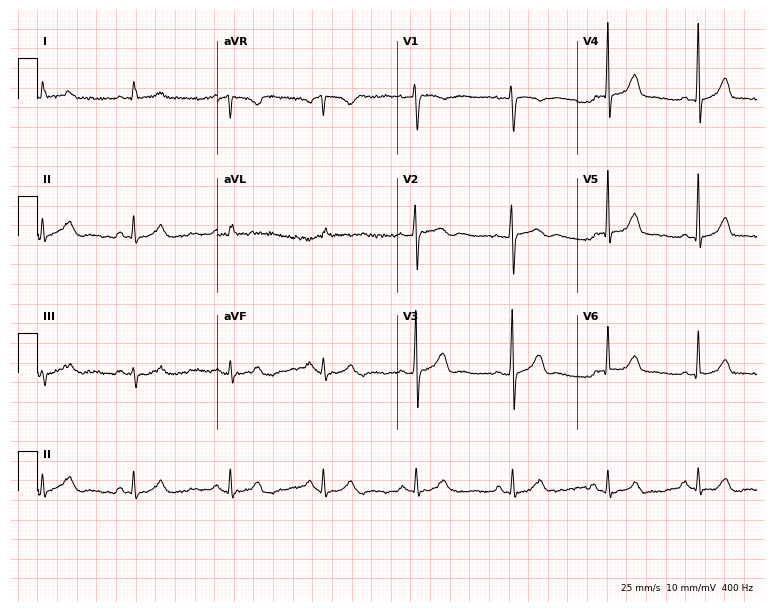
Electrocardiogram (7.3-second recording at 400 Hz), a female patient, 36 years old. Overall reading on record: normal ECG.